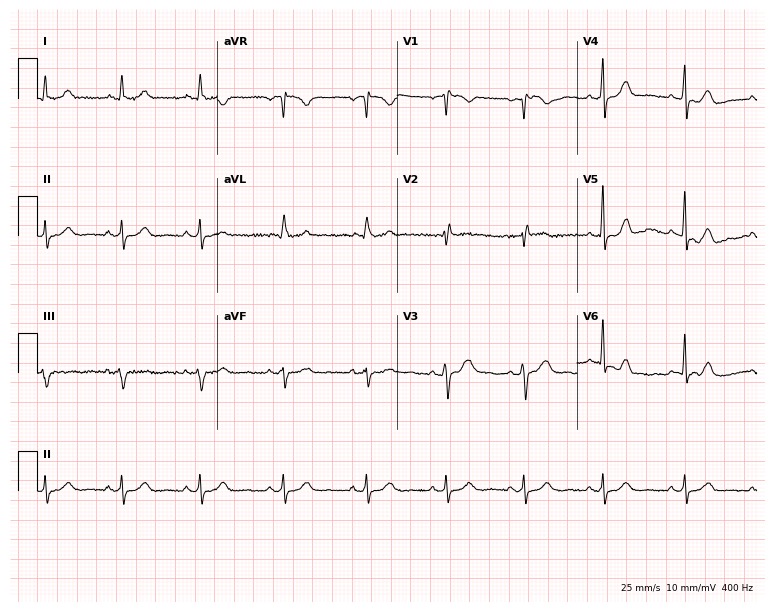
12-lead ECG from a 44-year-old female. Labelled as a normal ECG.